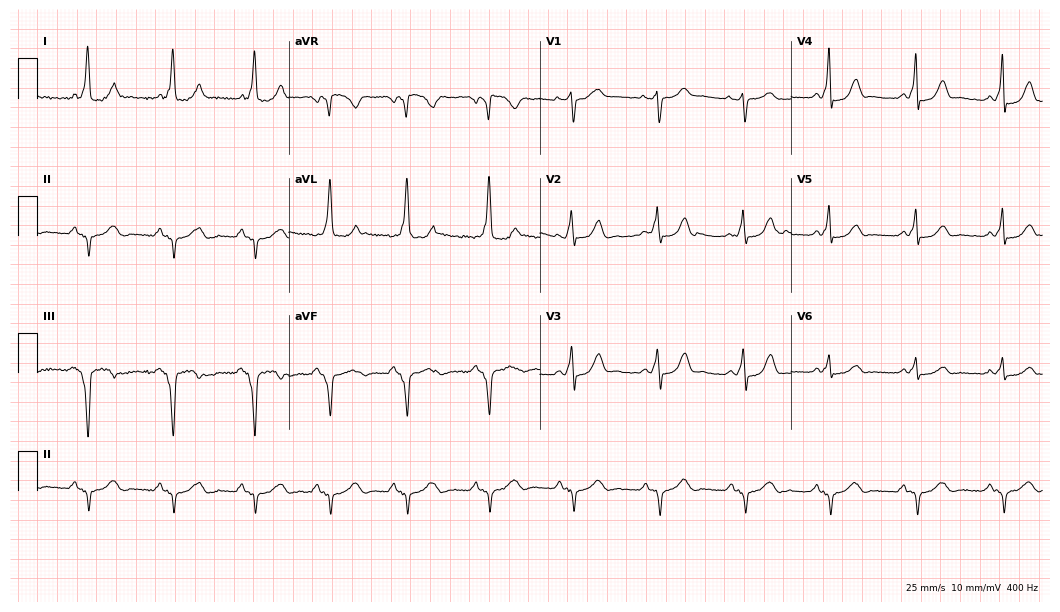
12-lead ECG from a female patient, 60 years old. Screened for six findings — first-degree AV block, right bundle branch block, left bundle branch block, sinus bradycardia, atrial fibrillation, sinus tachycardia — none is recorded.